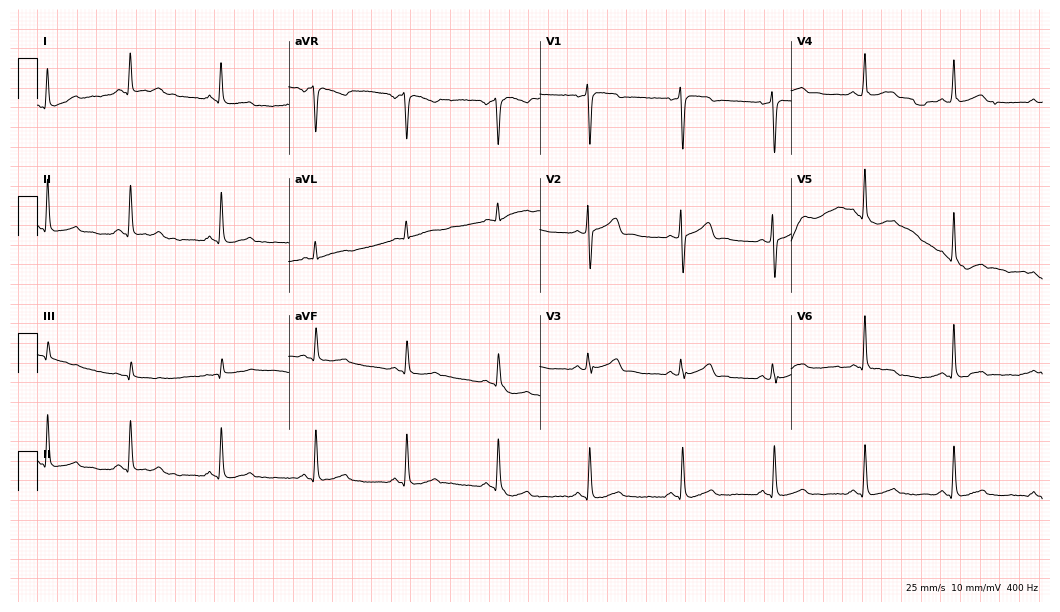
Resting 12-lead electrocardiogram. Patient: a male, 42 years old. Read as a normal ECG.